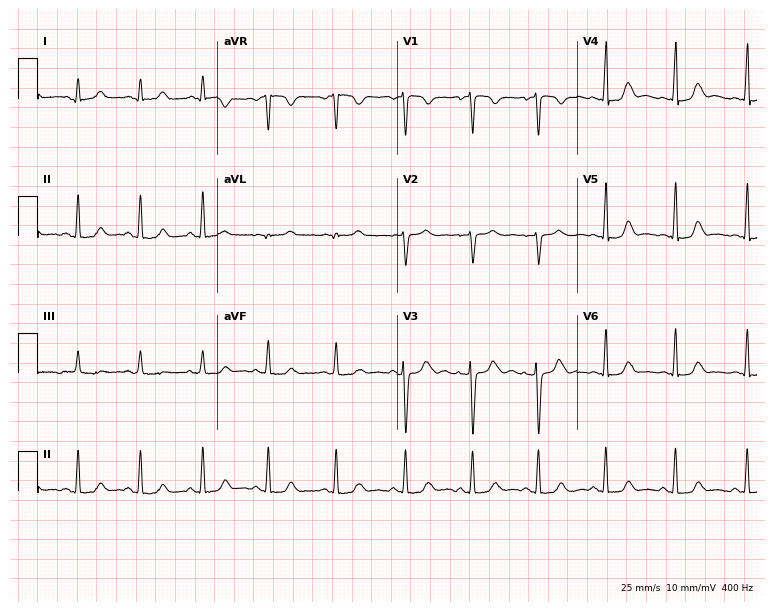
Resting 12-lead electrocardiogram (7.3-second recording at 400 Hz). Patient: a 25-year-old female. Read as a normal ECG.